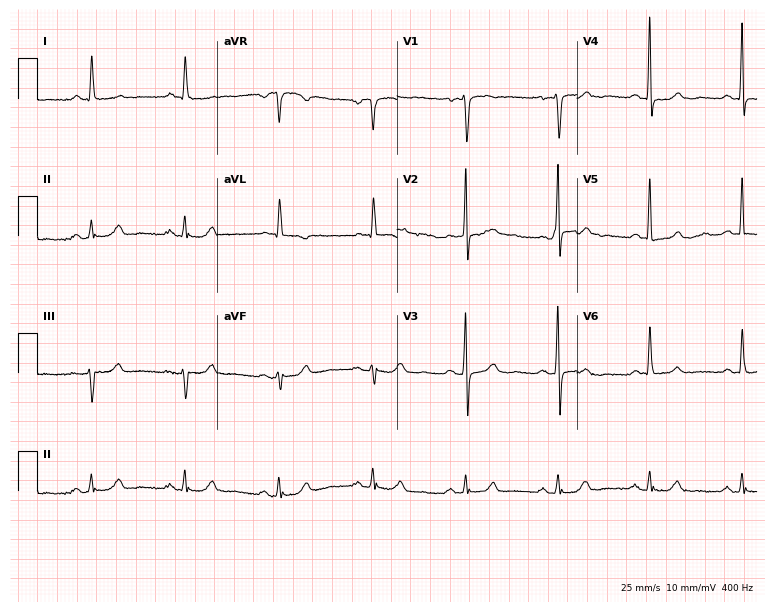
Resting 12-lead electrocardiogram. Patient: an 85-year-old woman. Read as a normal ECG.